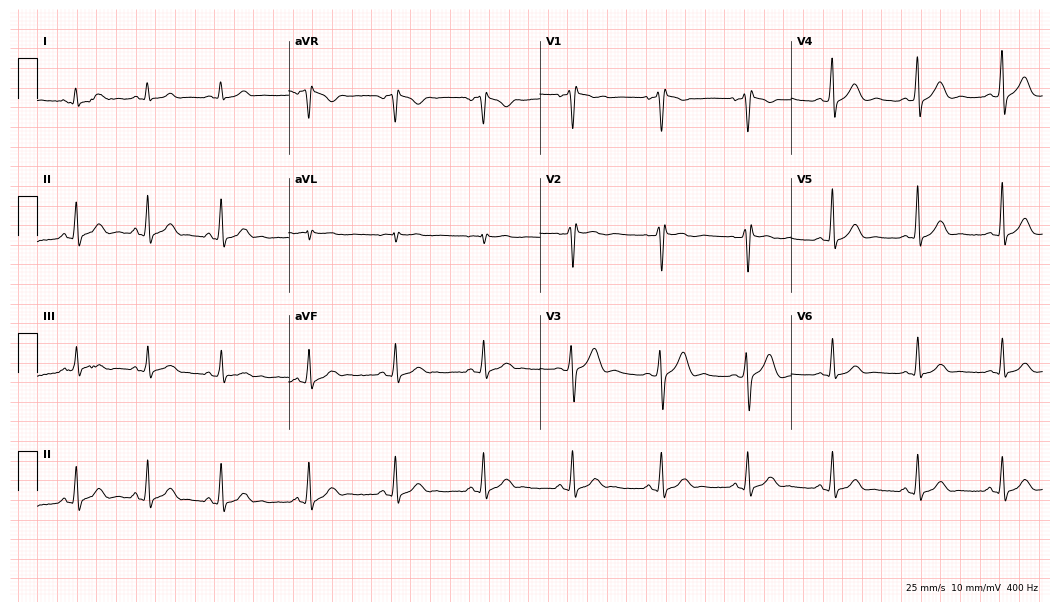
ECG — a 40-year-old male. Screened for six findings — first-degree AV block, right bundle branch block (RBBB), left bundle branch block (LBBB), sinus bradycardia, atrial fibrillation (AF), sinus tachycardia — none is recorded. Other findings, if any, are not listed.